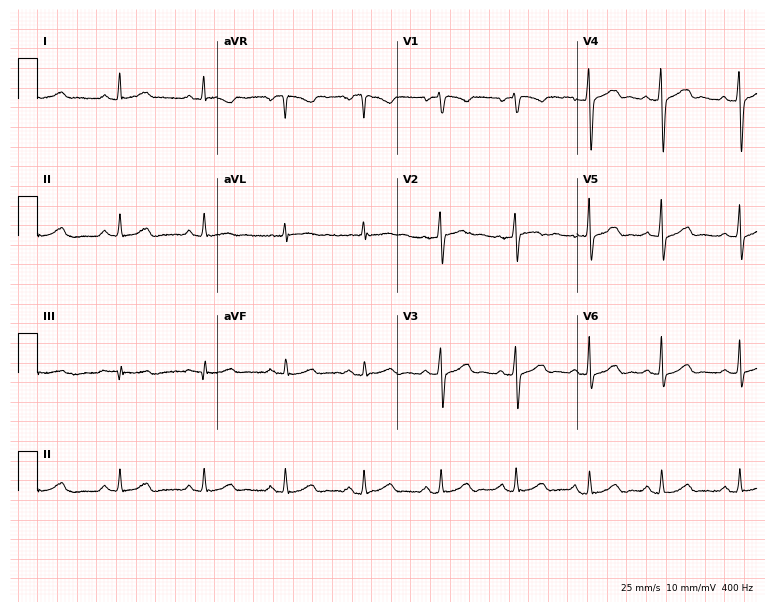
ECG — a 43-year-old man. Screened for six findings — first-degree AV block, right bundle branch block, left bundle branch block, sinus bradycardia, atrial fibrillation, sinus tachycardia — none is recorded. Findings outside these six are not listed.